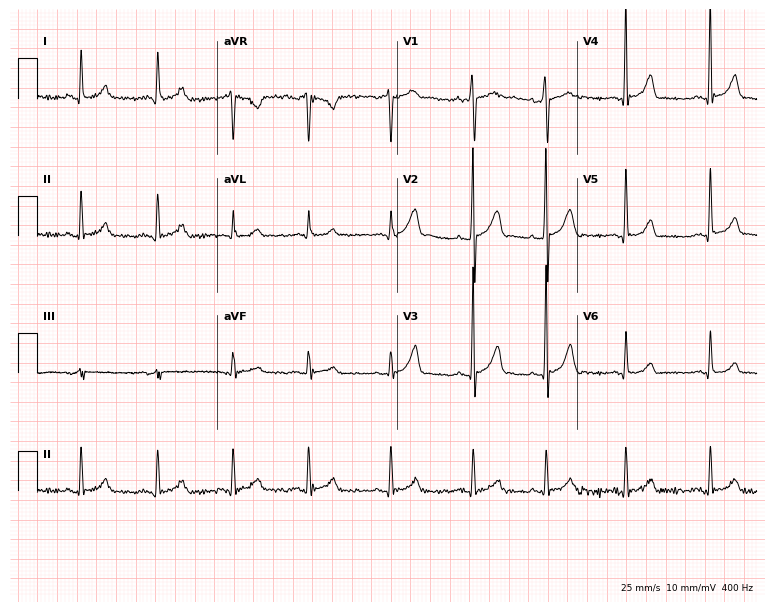
12-lead ECG from a man, 18 years old (7.3-second recording at 400 Hz). Recorded interpretation: within normal limits.